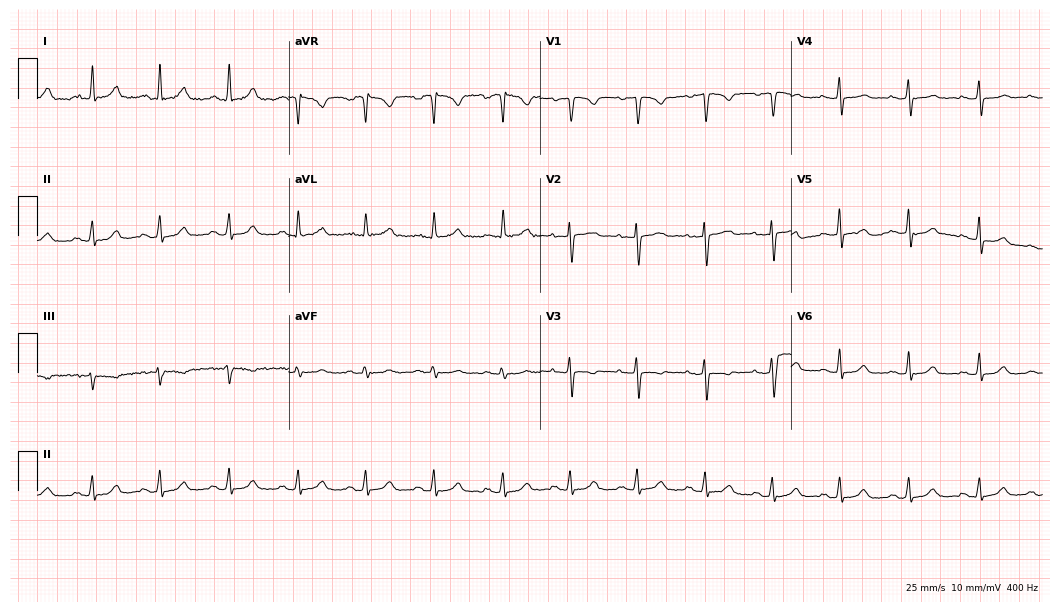
Resting 12-lead electrocardiogram (10.2-second recording at 400 Hz). Patient: a 46-year-old woman. Read as a normal ECG.